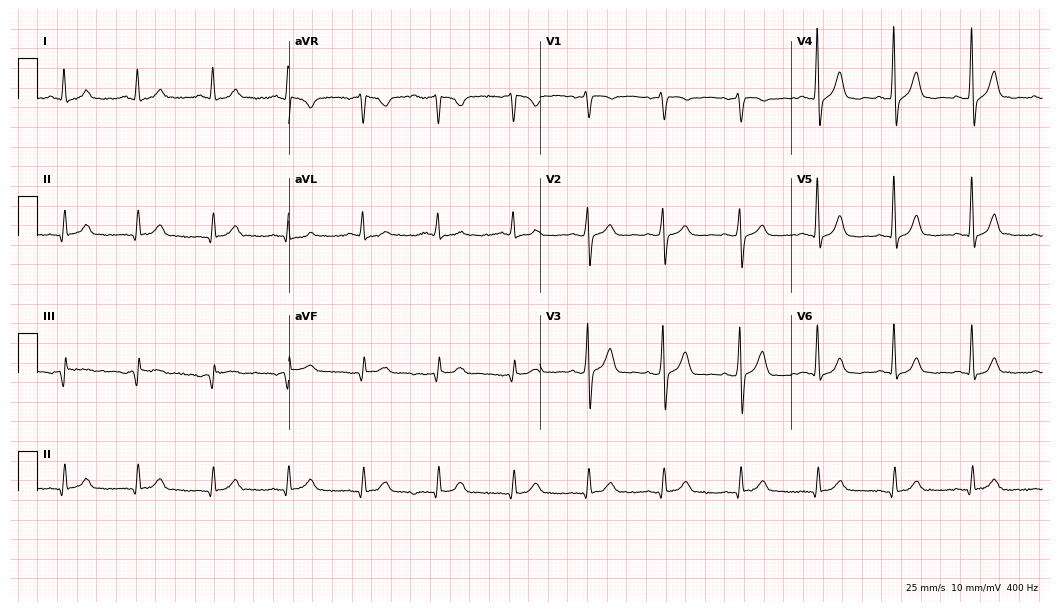
12-lead ECG from a 60-year-old male. No first-degree AV block, right bundle branch block (RBBB), left bundle branch block (LBBB), sinus bradycardia, atrial fibrillation (AF) or sinus tachycardia recorded for this tracing.